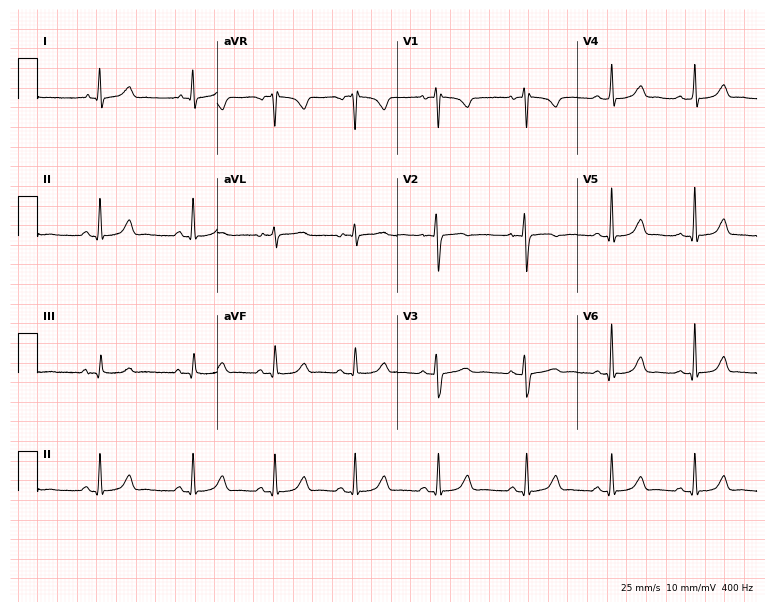
12-lead ECG (7.3-second recording at 400 Hz) from a 28-year-old female patient. Screened for six findings — first-degree AV block, right bundle branch block, left bundle branch block, sinus bradycardia, atrial fibrillation, sinus tachycardia — none is recorded. Only these six findings were labelled.